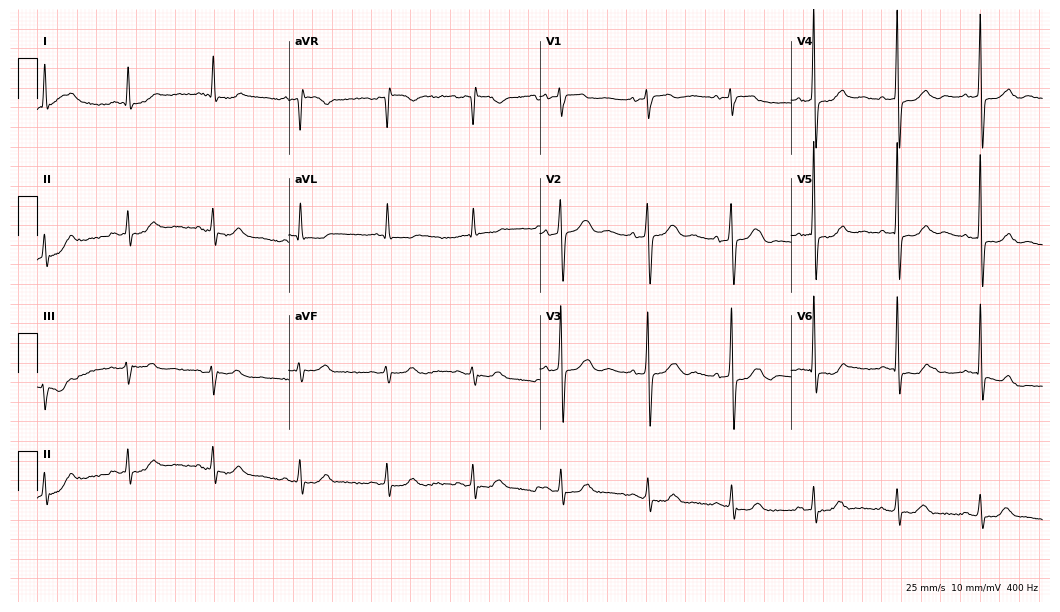
ECG (10.2-second recording at 400 Hz) — a male patient, 69 years old. Labelled as a normal ECG.